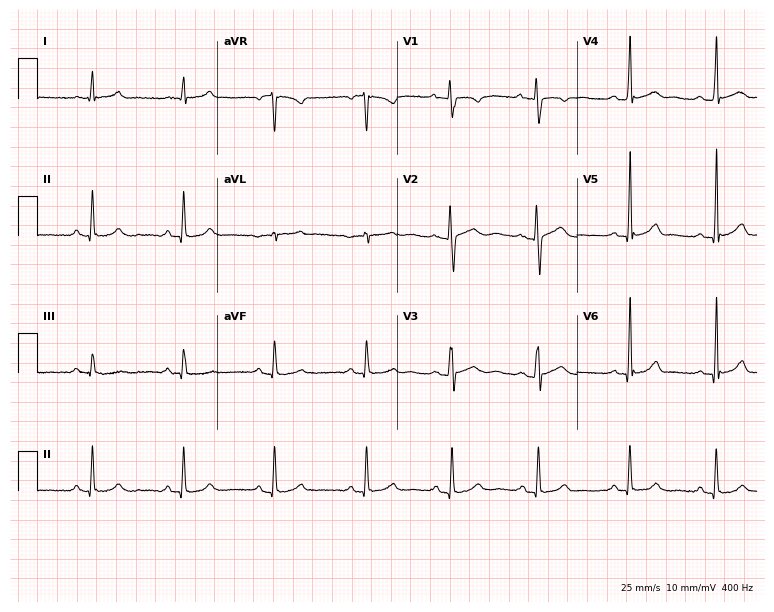
Electrocardiogram (7.3-second recording at 400 Hz), a 32-year-old woman. Overall reading on record: normal ECG.